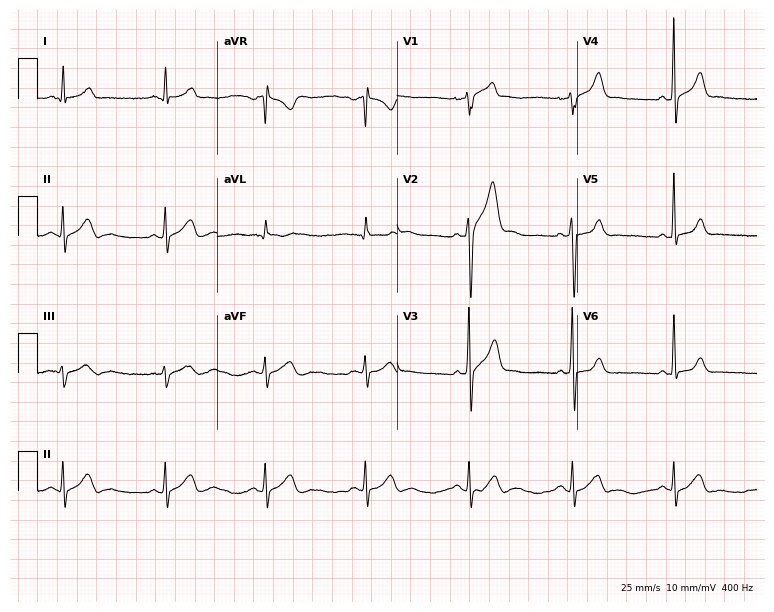
12-lead ECG from a male patient, 43 years old. Labelled as a normal ECG.